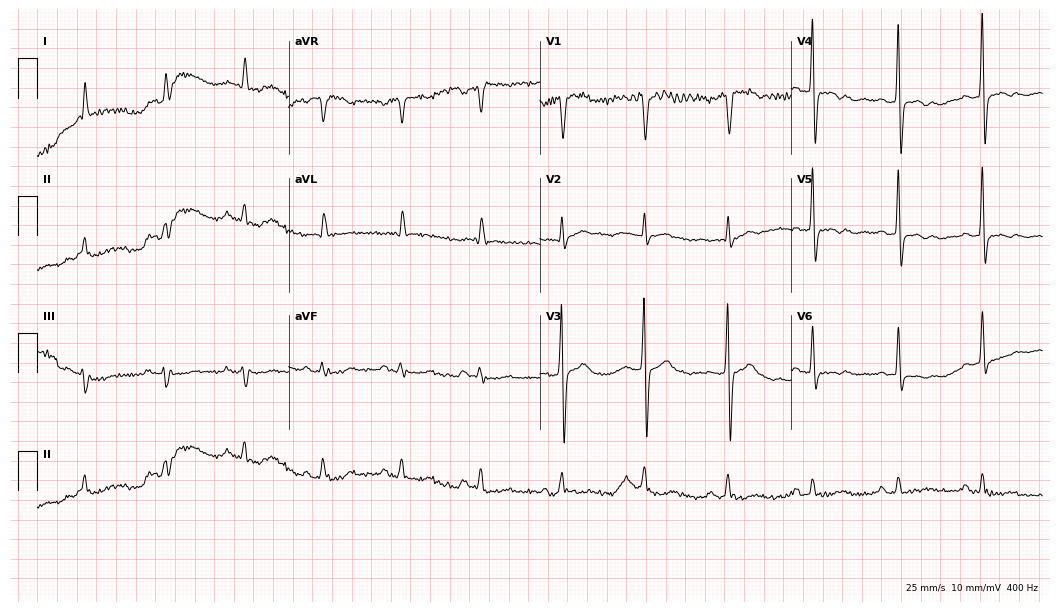
12-lead ECG (10.2-second recording at 400 Hz) from an 81-year-old male patient. Screened for six findings — first-degree AV block, right bundle branch block (RBBB), left bundle branch block (LBBB), sinus bradycardia, atrial fibrillation (AF), sinus tachycardia — none is recorded.